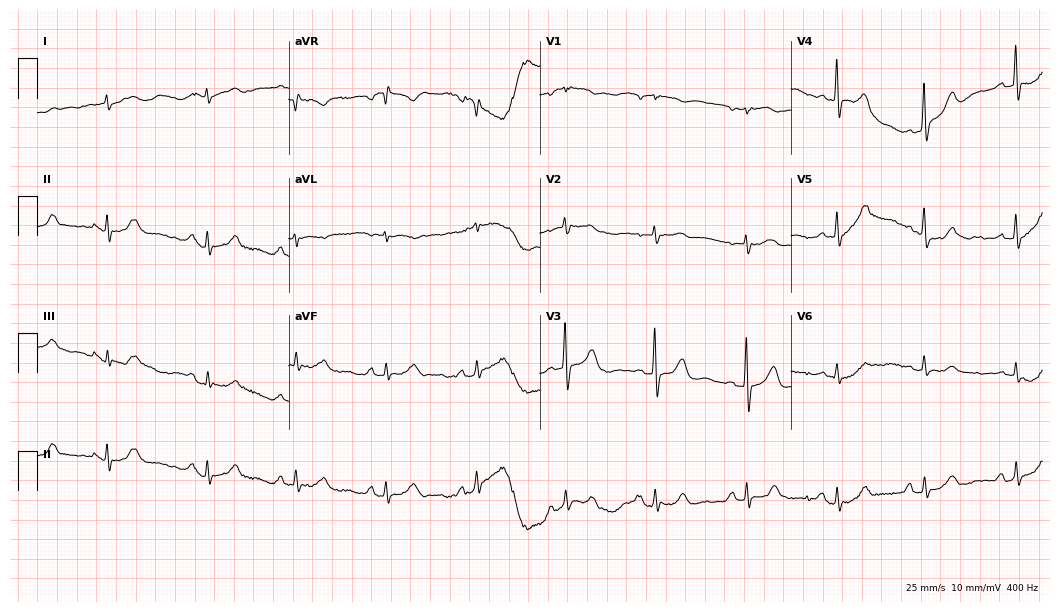
12-lead ECG (10.2-second recording at 400 Hz) from a man, 75 years old. Screened for six findings — first-degree AV block, right bundle branch block, left bundle branch block, sinus bradycardia, atrial fibrillation, sinus tachycardia — none is recorded.